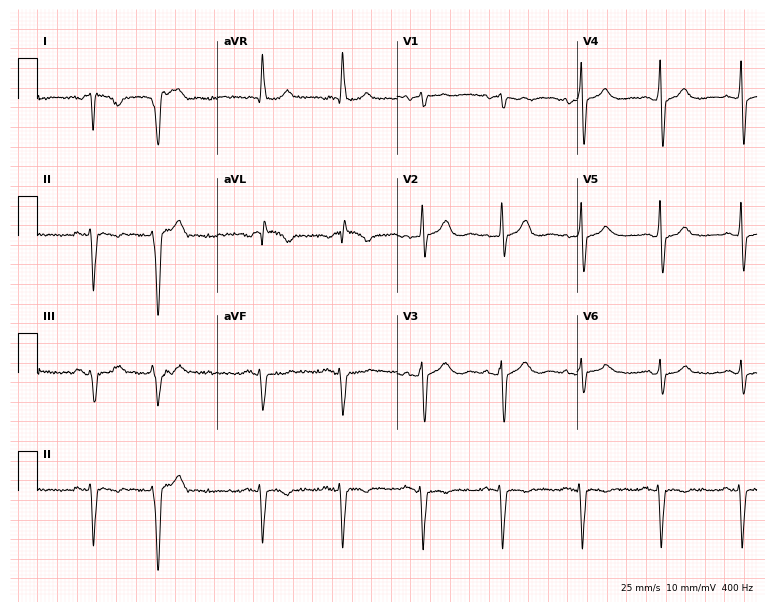
12-lead ECG from a male patient, 77 years old. No first-degree AV block, right bundle branch block, left bundle branch block, sinus bradycardia, atrial fibrillation or sinus tachycardia recorded for this tracing.